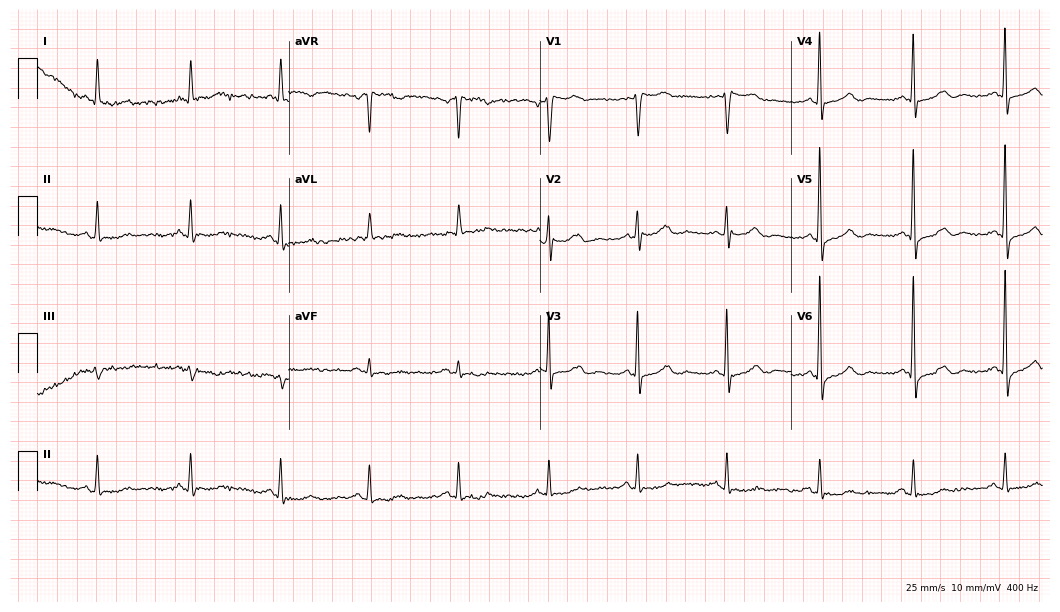
12-lead ECG (10.2-second recording at 400 Hz) from a man, 64 years old. Screened for six findings — first-degree AV block, right bundle branch block, left bundle branch block, sinus bradycardia, atrial fibrillation, sinus tachycardia — none is recorded.